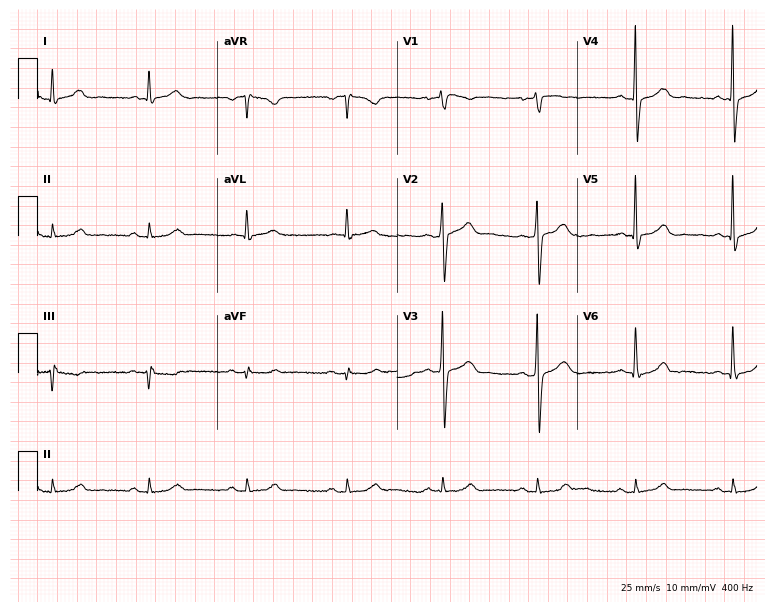
ECG (7.3-second recording at 400 Hz) — a male, 58 years old. Screened for six findings — first-degree AV block, right bundle branch block (RBBB), left bundle branch block (LBBB), sinus bradycardia, atrial fibrillation (AF), sinus tachycardia — none is recorded.